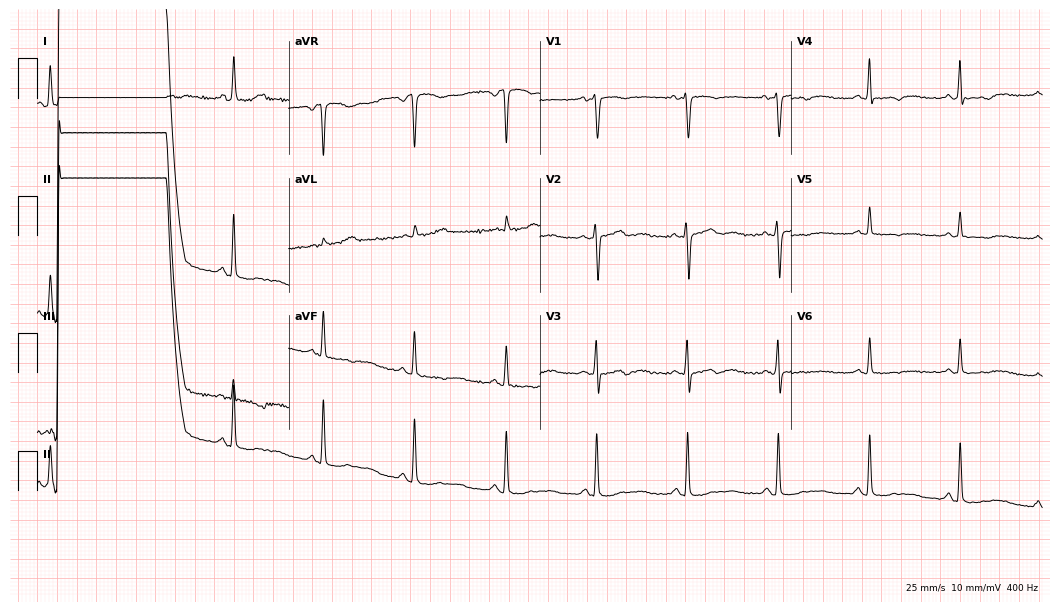
Standard 12-lead ECG recorded from a female patient, 51 years old (10.2-second recording at 400 Hz). None of these six findings is recorded: first-degree AV block, right bundle branch block (RBBB), left bundle branch block (LBBB), sinus bradycardia, atrial fibrillation (AF), sinus tachycardia.